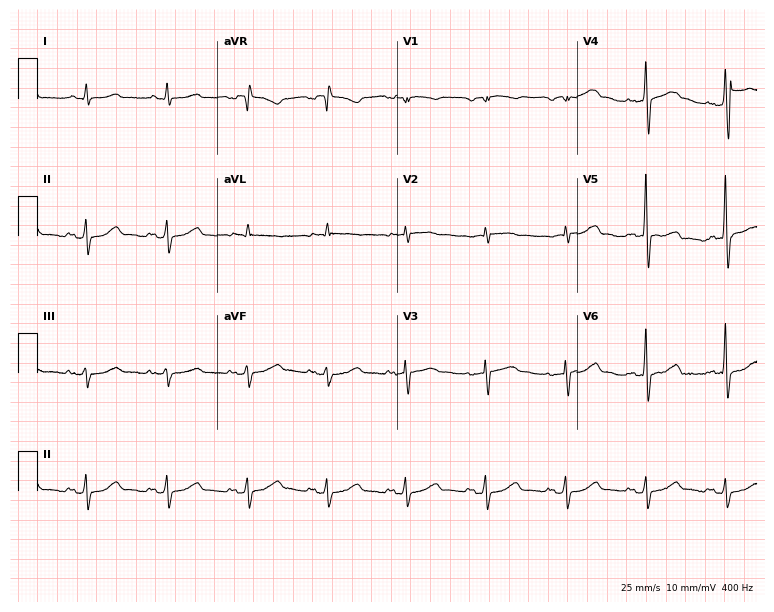
Resting 12-lead electrocardiogram (7.3-second recording at 400 Hz). Patient: a male, 60 years old. None of these six findings is recorded: first-degree AV block, right bundle branch block (RBBB), left bundle branch block (LBBB), sinus bradycardia, atrial fibrillation (AF), sinus tachycardia.